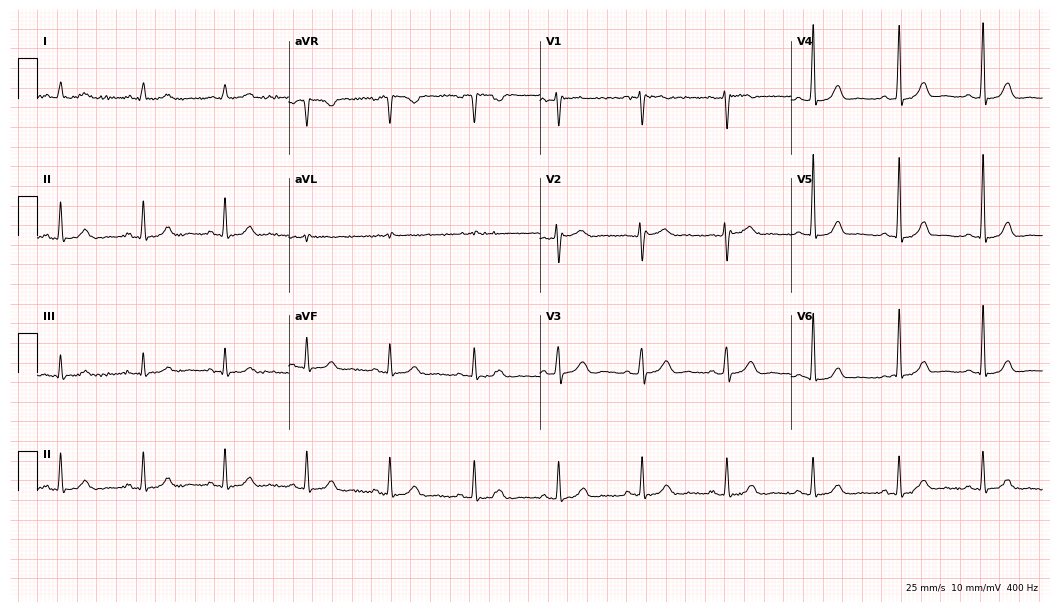
Resting 12-lead electrocardiogram. Patient: a 48-year-old woman. Read as a normal ECG.